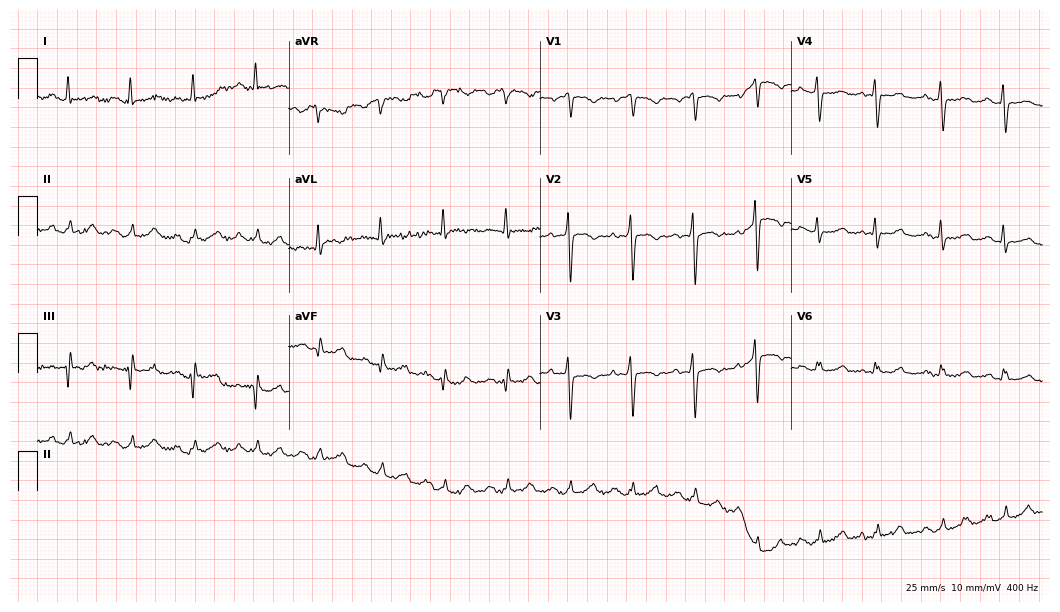
Resting 12-lead electrocardiogram. Patient: a female, 50 years old. Read as a normal ECG.